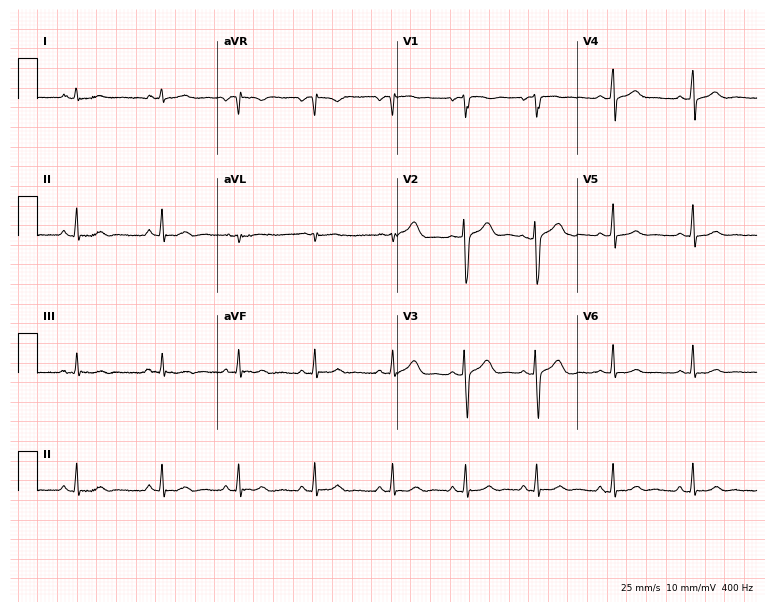
12-lead ECG (7.3-second recording at 400 Hz) from a 24-year-old female. Labelled as a normal ECG.